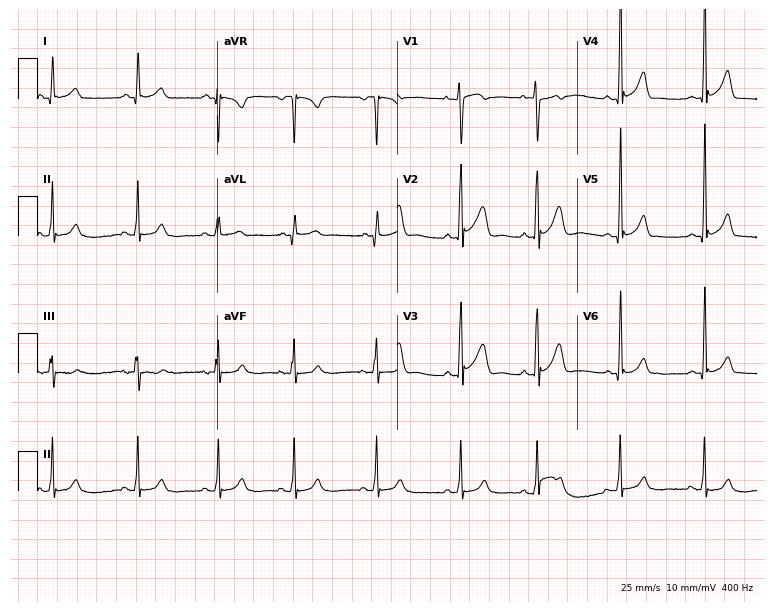
ECG (7.3-second recording at 400 Hz) — a 19-year-old man. Labelled as a normal ECG.